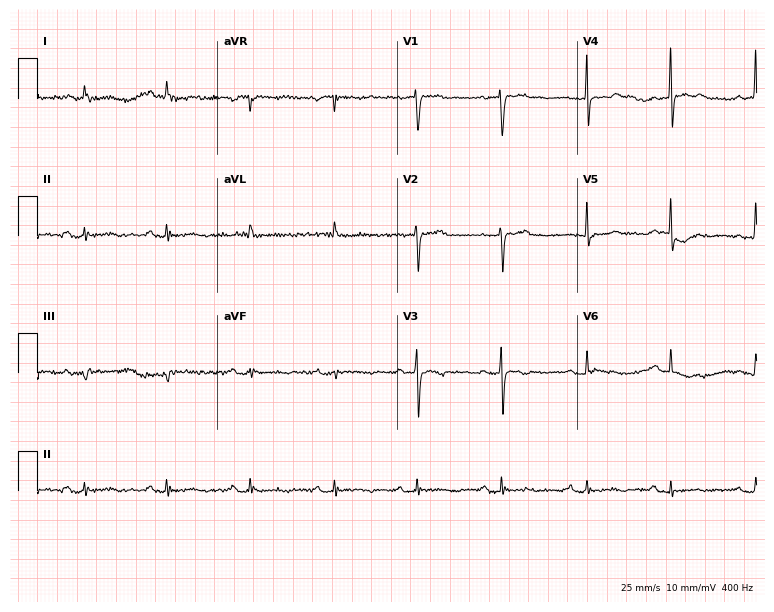
12-lead ECG from a male, 70 years old. Screened for six findings — first-degree AV block, right bundle branch block, left bundle branch block, sinus bradycardia, atrial fibrillation, sinus tachycardia — none is recorded.